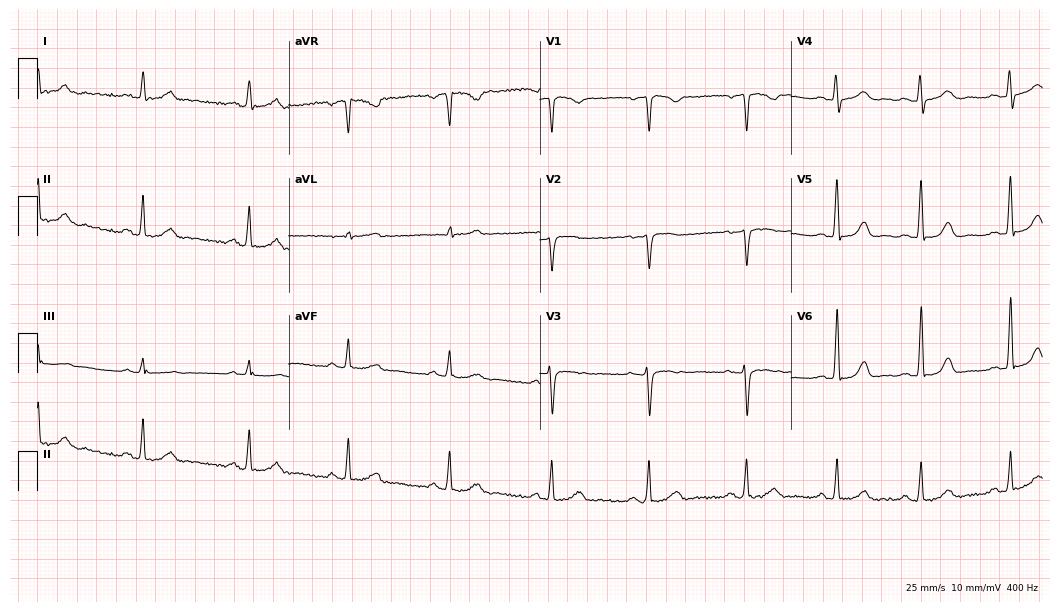
Standard 12-lead ECG recorded from a female, 57 years old. Read as a normal ECG.